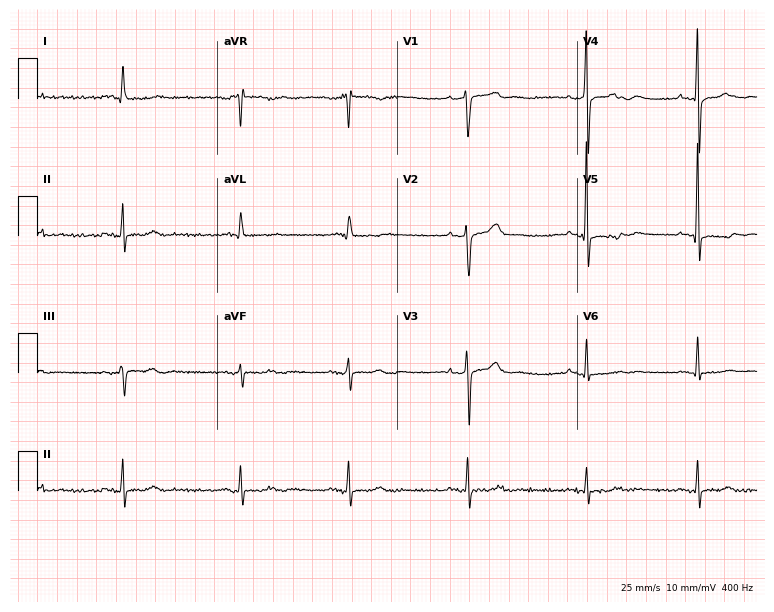
ECG — a male, 78 years old. Screened for six findings — first-degree AV block, right bundle branch block (RBBB), left bundle branch block (LBBB), sinus bradycardia, atrial fibrillation (AF), sinus tachycardia — none is recorded. Other findings, if any, are not listed.